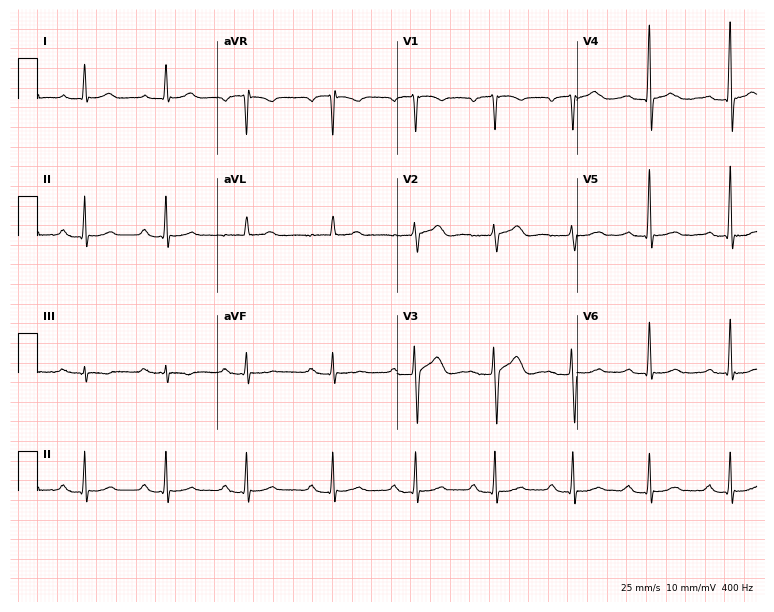
Standard 12-lead ECG recorded from a female, 58 years old (7.3-second recording at 400 Hz). None of these six findings is recorded: first-degree AV block, right bundle branch block, left bundle branch block, sinus bradycardia, atrial fibrillation, sinus tachycardia.